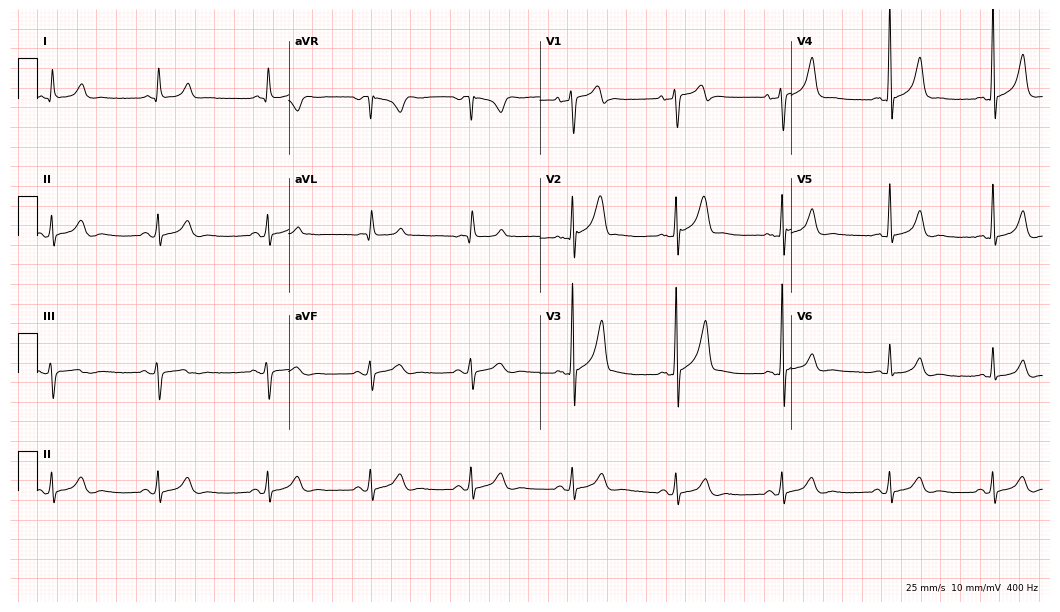
ECG (10.2-second recording at 400 Hz) — a male patient, 43 years old. Labelled as a normal ECG.